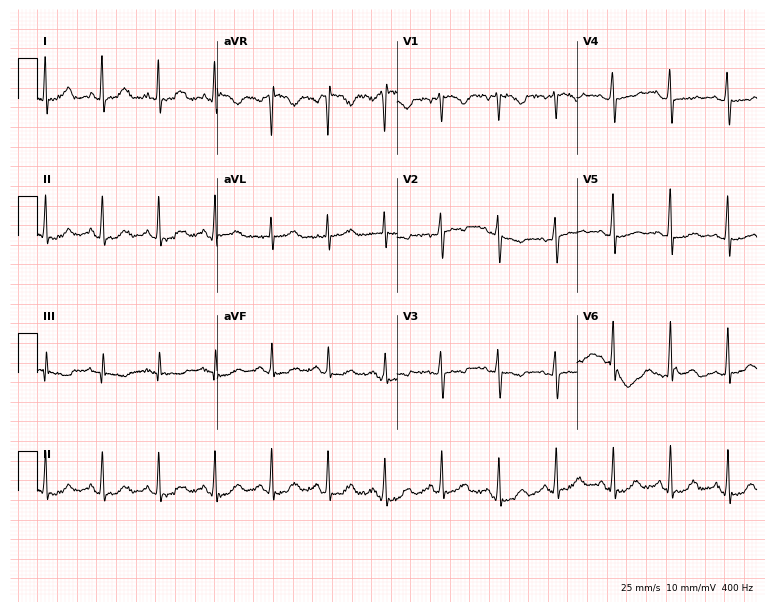
Resting 12-lead electrocardiogram. Patient: a 52-year-old female. The tracing shows sinus tachycardia (a sinus rate of 100 beats per minute or more).